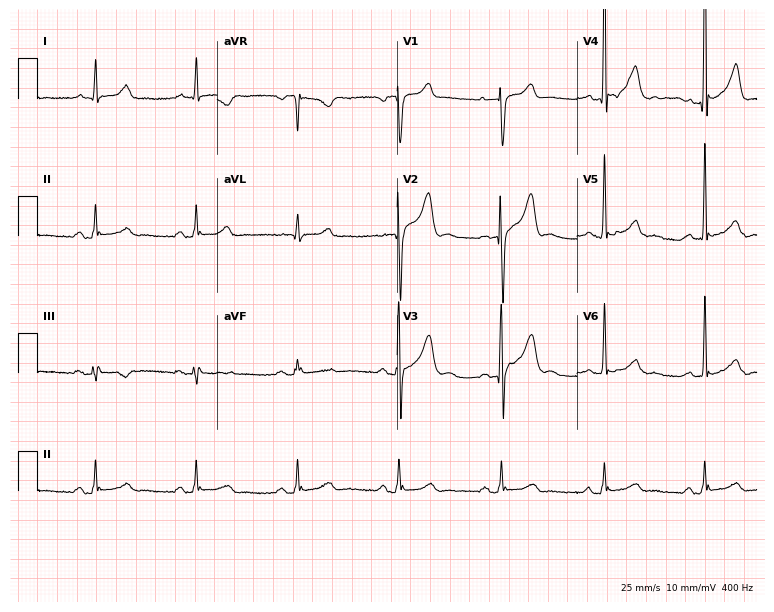
Resting 12-lead electrocardiogram. Patient: a man, 77 years old. None of these six findings is recorded: first-degree AV block, right bundle branch block (RBBB), left bundle branch block (LBBB), sinus bradycardia, atrial fibrillation (AF), sinus tachycardia.